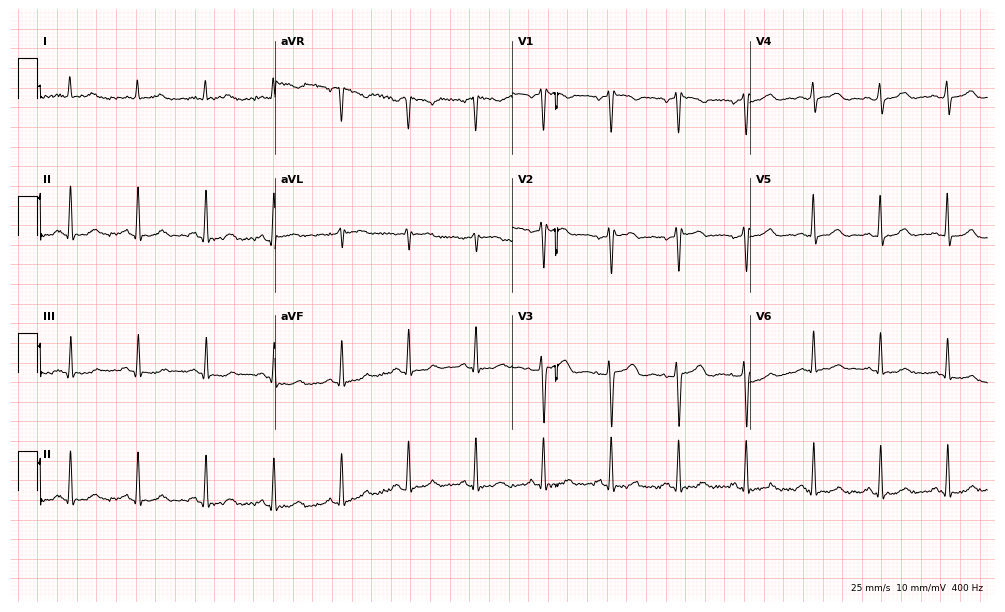
12-lead ECG from a woman, 56 years old. Recorded interpretation: within normal limits.